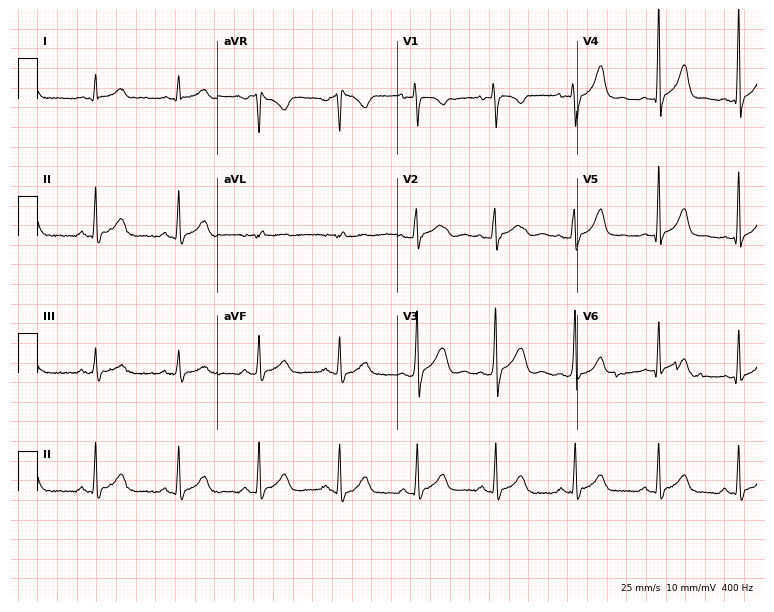
12-lead ECG (7.3-second recording at 400 Hz) from a 23-year-old man. Labelled as a normal ECG.